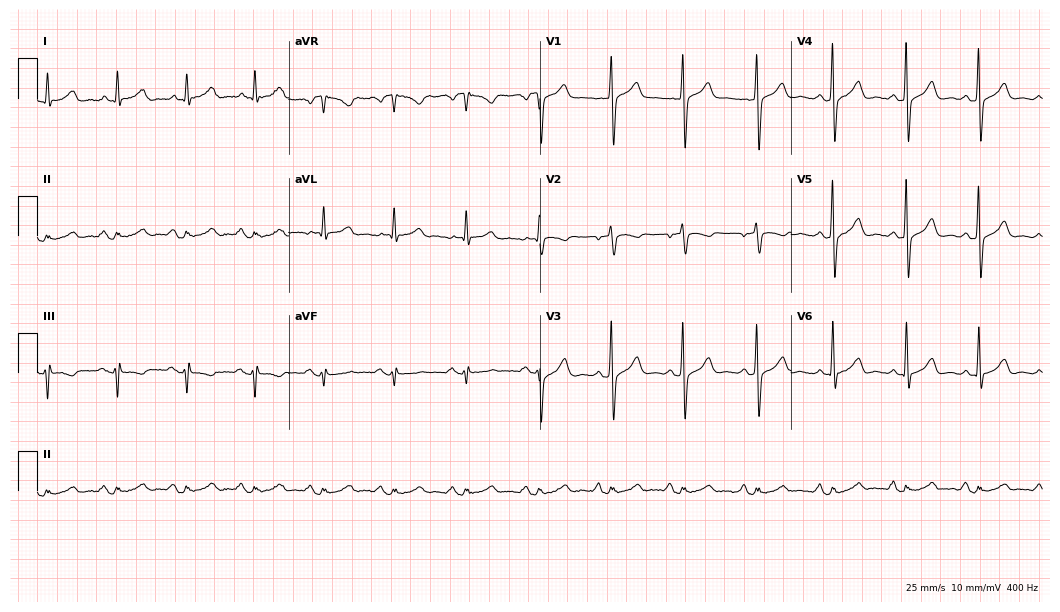
12-lead ECG from a 70-year-old man (10.2-second recording at 400 Hz). Recorded interpretation: within normal limits.